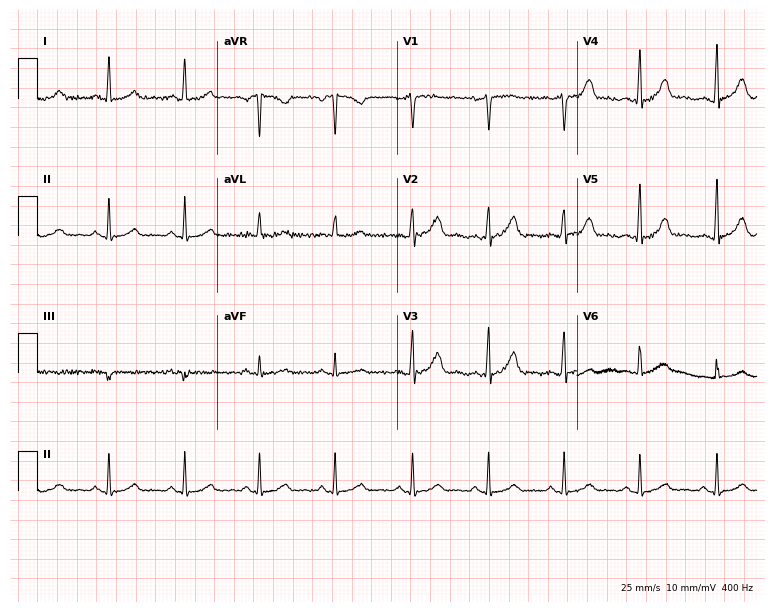
ECG (7.3-second recording at 400 Hz) — a female patient, 45 years old. Labelled as a normal ECG.